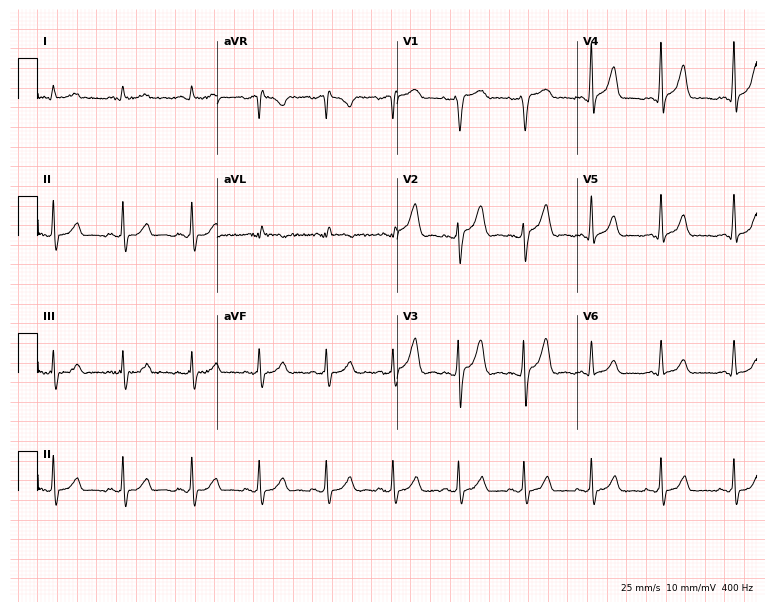
ECG (7.3-second recording at 400 Hz) — a 50-year-old man. Labelled as a normal ECG.